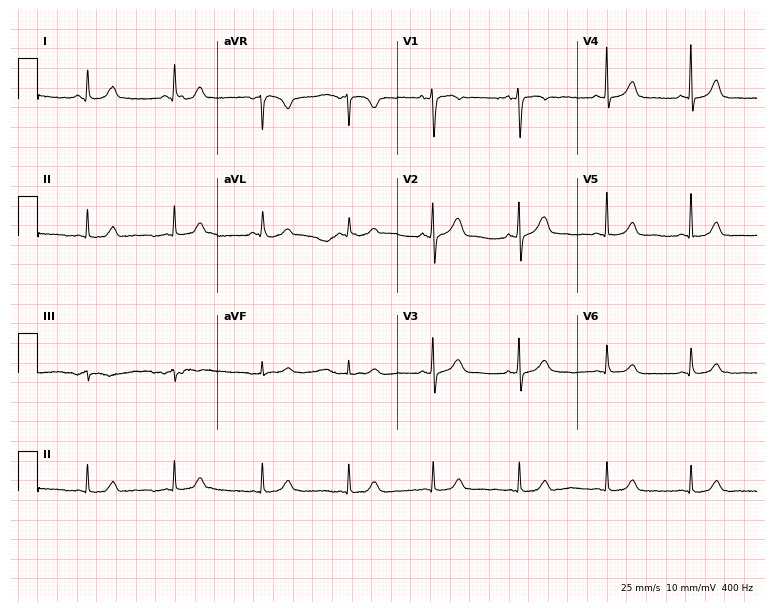
Electrocardiogram (7.3-second recording at 400 Hz), a 43-year-old female patient. Overall reading on record: normal ECG.